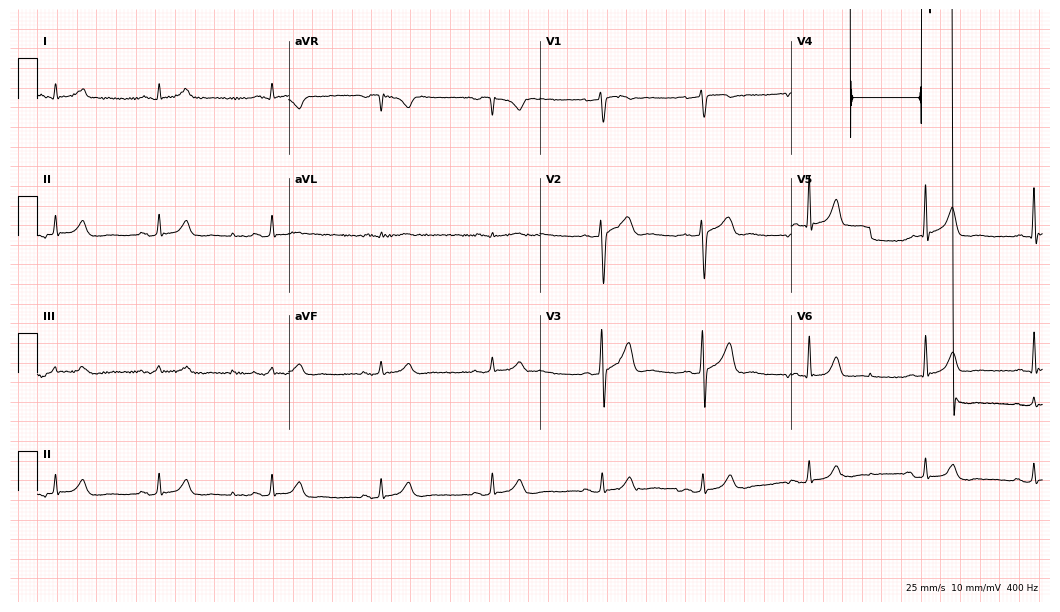
12-lead ECG from a 55-year-old male. Screened for six findings — first-degree AV block, right bundle branch block, left bundle branch block, sinus bradycardia, atrial fibrillation, sinus tachycardia — none is recorded. Only these six findings were labelled.